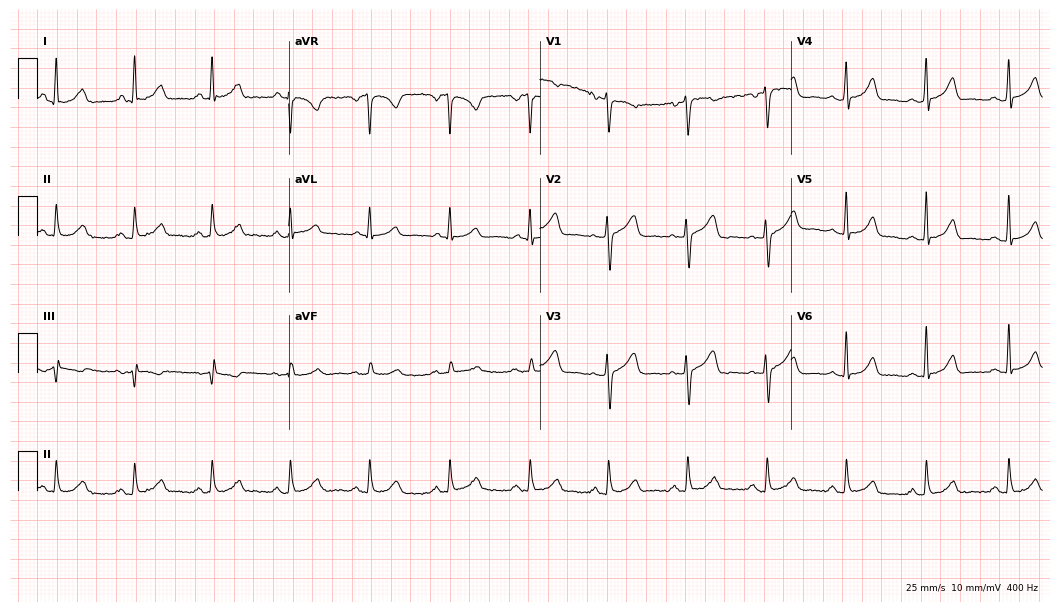
Electrocardiogram, a female patient, 69 years old. Overall reading on record: normal ECG.